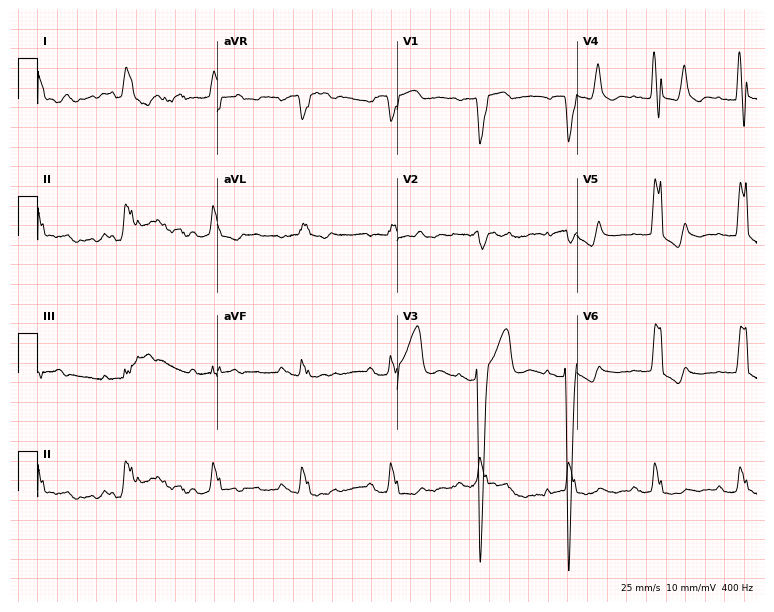
12-lead ECG from an 82-year-old male (7.3-second recording at 400 Hz). Shows left bundle branch block (LBBB).